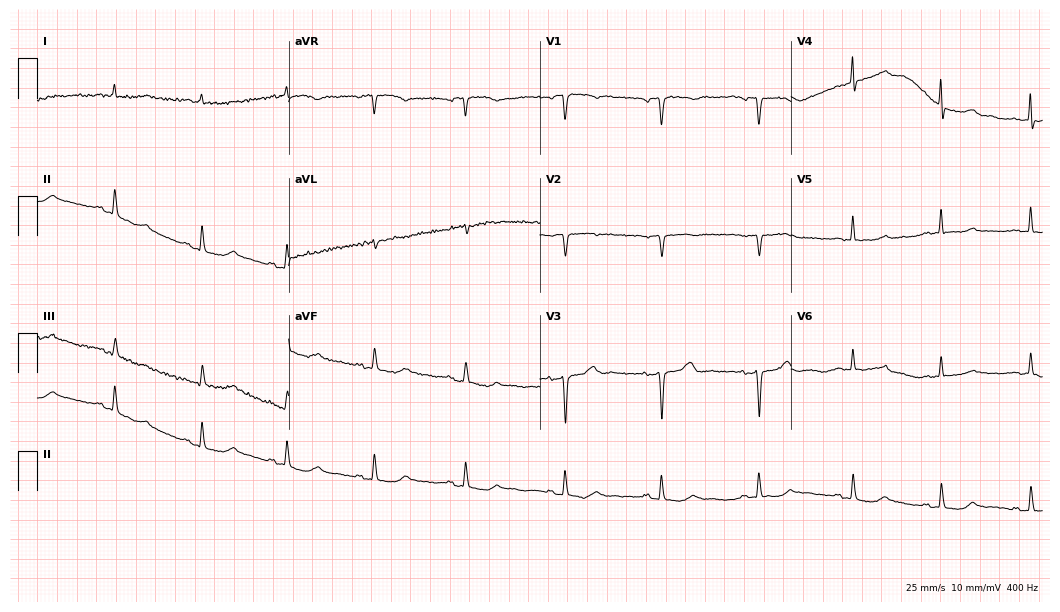
12-lead ECG (10.2-second recording at 400 Hz) from a 75-year-old woman. Screened for six findings — first-degree AV block, right bundle branch block, left bundle branch block, sinus bradycardia, atrial fibrillation, sinus tachycardia — none is recorded.